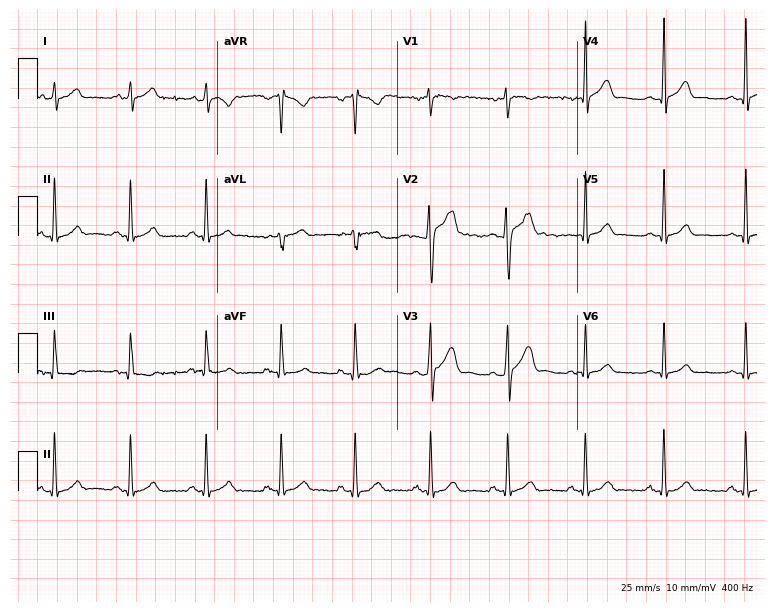
12-lead ECG from a 29-year-old man. Labelled as a normal ECG.